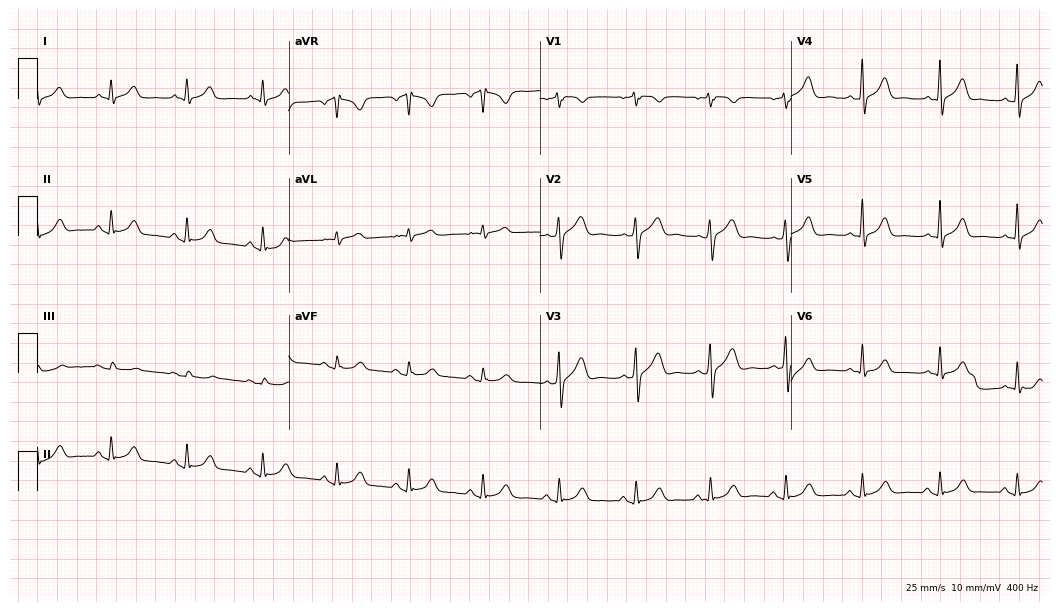
Standard 12-lead ECG recorded from a 54-year-old male. Read as a normal ECG.